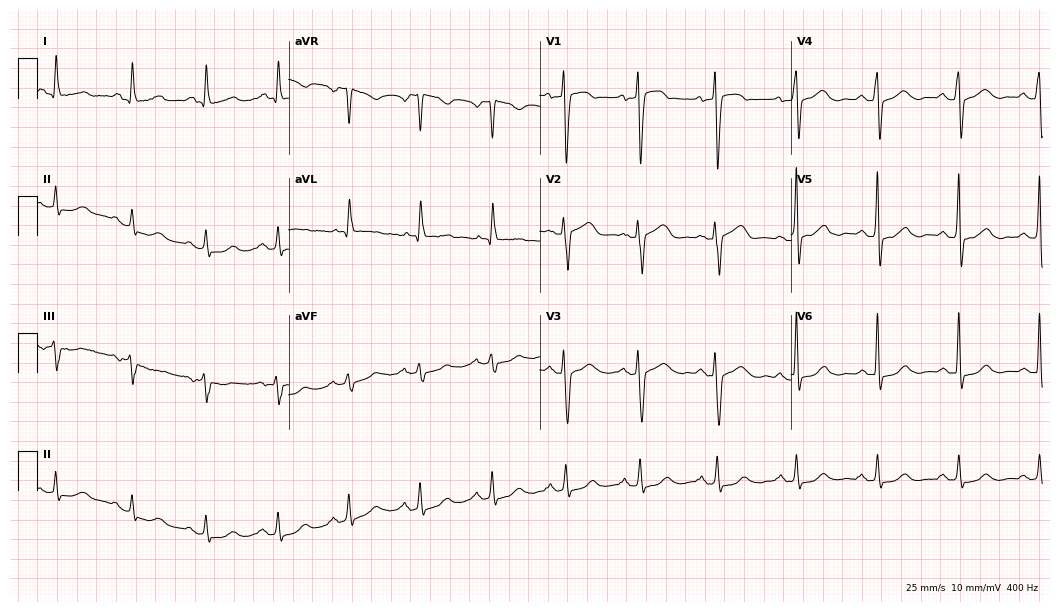
Standard 12-lead ECG recorded from a 69-year-old female. Read as a normal ECG.